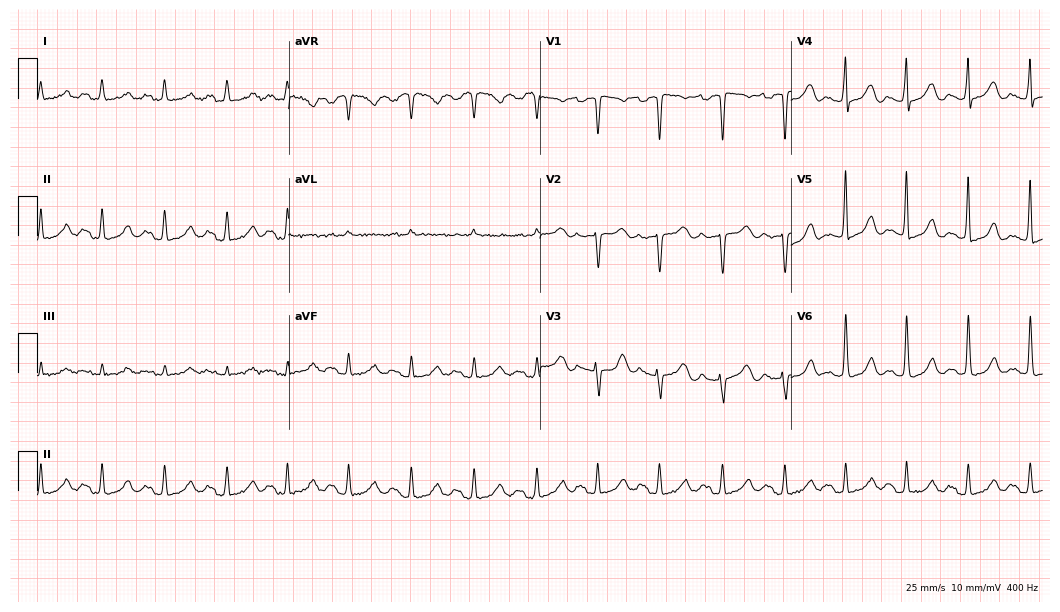
Electrocardiogram (10.2-second recording at 400 Hz), a female patient, 47 years old. Interpretation includes first-degree AV block.